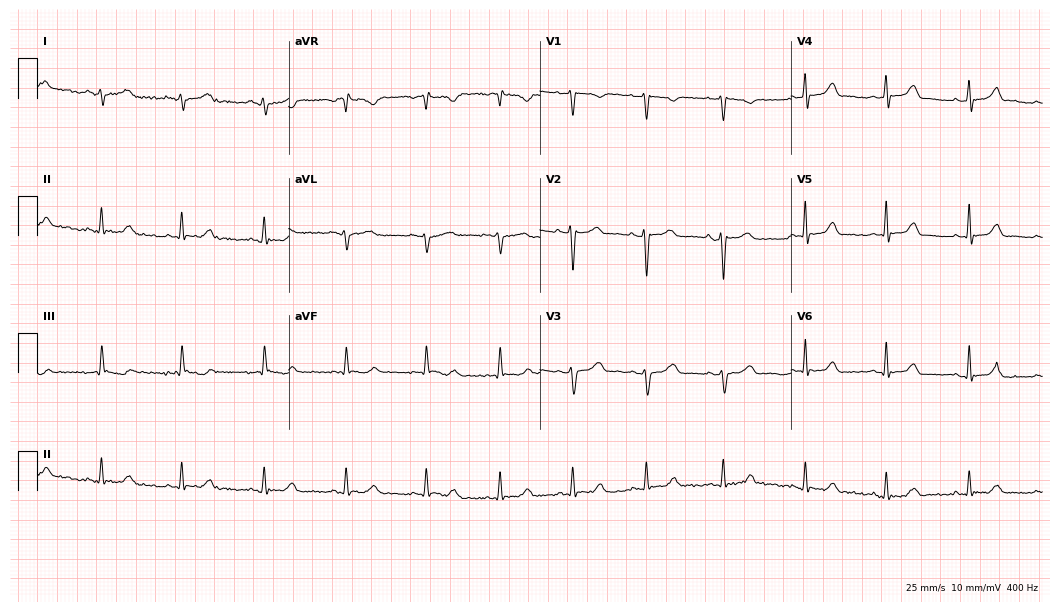
Electrocardiogram, a female, 36 years old. Of the six screened findings (first-degree AV block, right bundle branch block, left bundle branch block, sinus bradycardia, atrial fibrillation, sinus tachycardia), none is recorded.